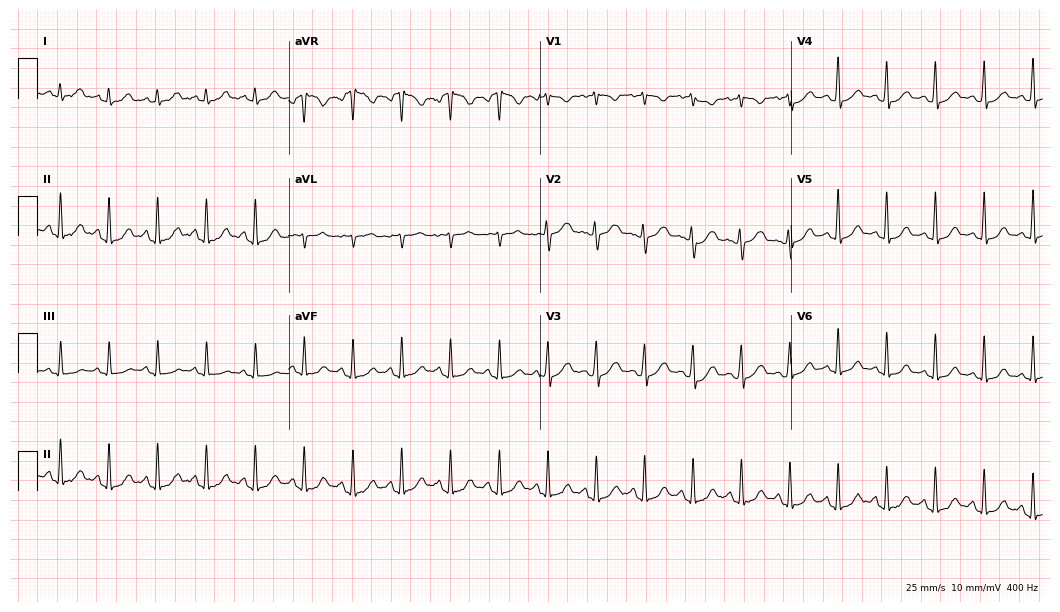
12-lead ECG from a female patient, 19 years old (10.2-second recording at 400 Hz). Shows sinus tachycardia (a sinus rate of 100 beats per minute or more).